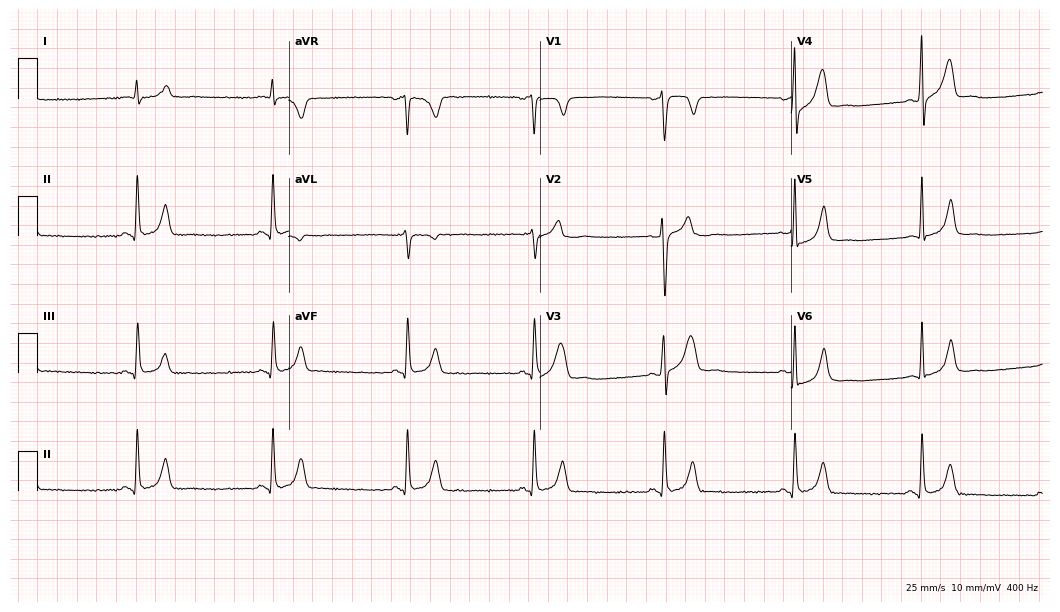
12-lead ECG from a man, 39 years old. Screened for six findings — first-degree AV block, right bundle branch block, left bundle branch block, sinus bradycardia, atrial fibrillation, sinus tachycardia — none is recorded. Only these six findings were labelled.